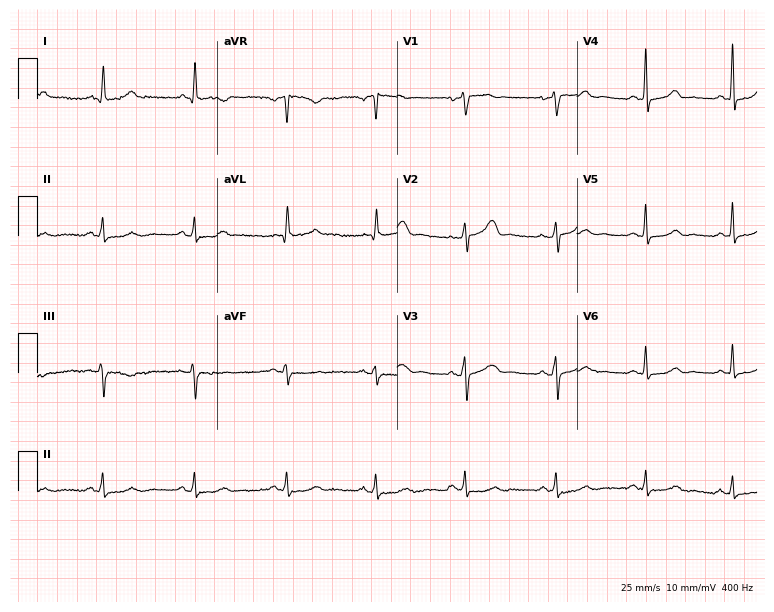
Standard 12-lead ECG recorded from a female patient, 53 years old (7.3-second recording at 400 Hz). None of these six findings is recorded: first-degree AV block, right bundle branch block (RBBB), left bundle branch block (LBBB), sinus bradycardia, atrial fibrillation (AF), sinus tachycardia.